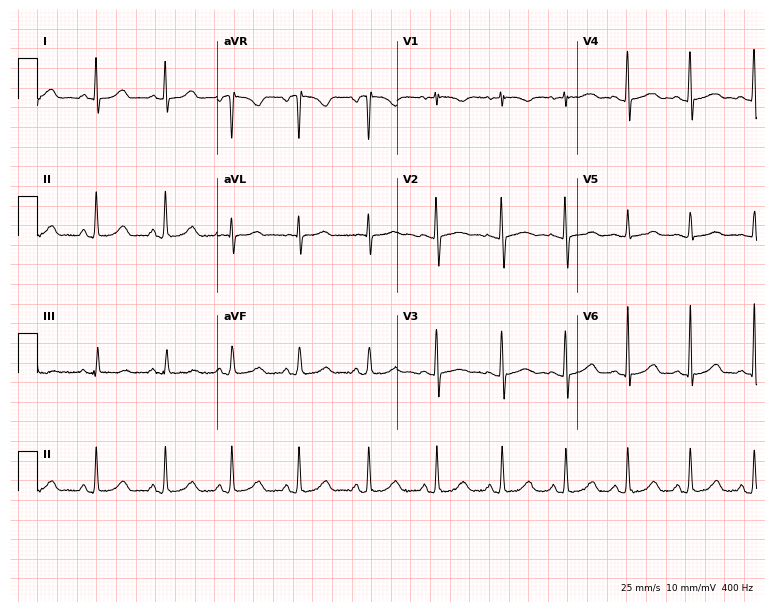
ECG — a 21-year-old woman. Labelled as a normal ECG.